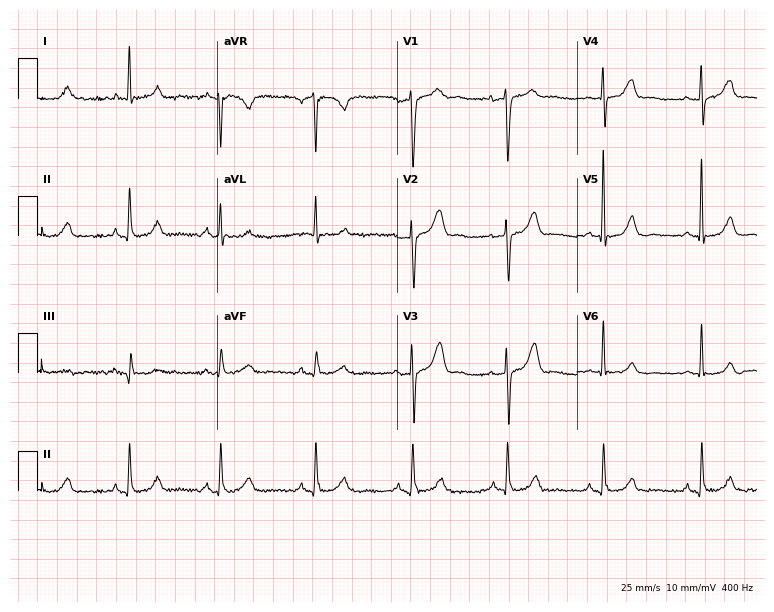
ECG — a female, 70 years old. Screened for six findings — first-degree AV block, right bundle branch block, left bundle branch block, sinus bradycardia, atrial fibrillation, sinus tachycardia — none is recorded.